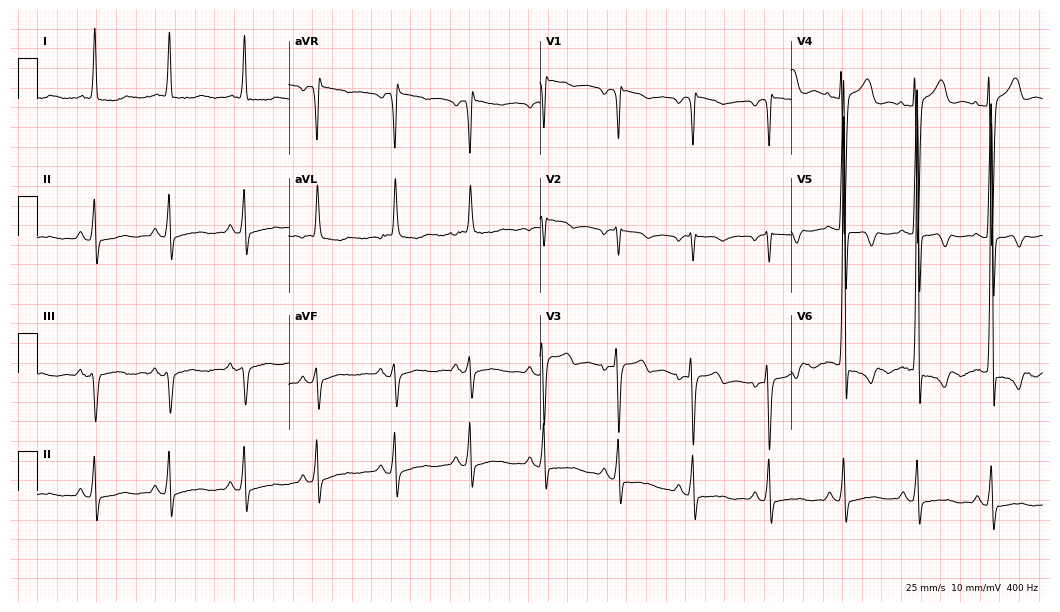
12-lead ECG from a woman, 79 years old. No first-degree AV block, right bundle branch block, left bundle branch block, sinus bradycardia, atrial fibrillation or sinus tachycardia recorded for this tracing. Other findings, if any, are not listed.